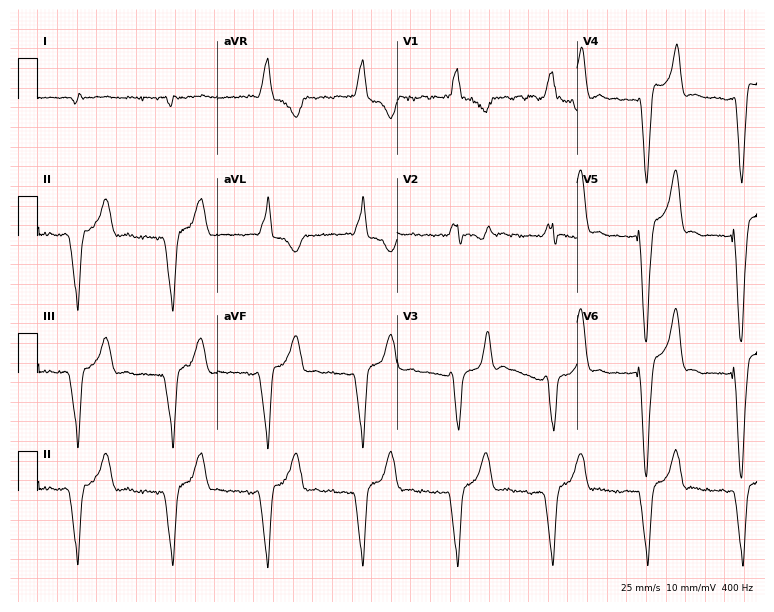
Resting 12-lead electrocardiogram. Patient: a 68-year-old male. None of these six findings is recorded: first-degree AV block, right bundle branch block, left bundle branch block, sinus bradycardia, atrial fibrillation, sinus tachycardia.